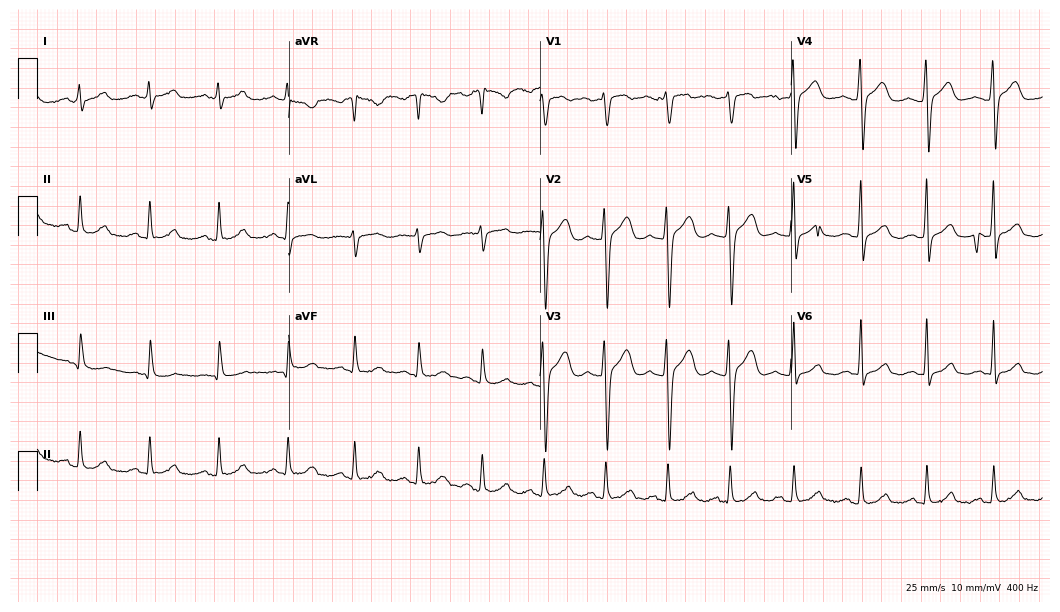
Standard 12-lead ECG recorded from a 21-year-old woman (10.2-second recording at 400 Hz). Read as a normal ECG.